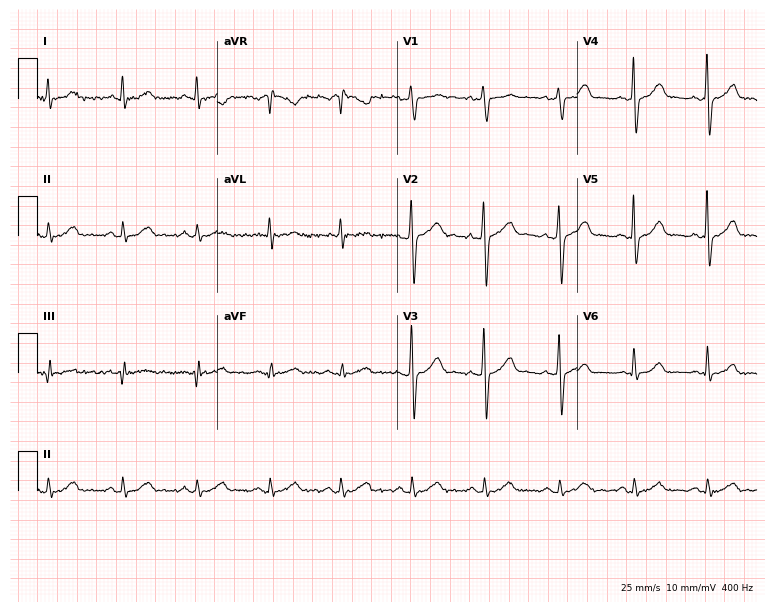
12-lead ECG from a man, 42 years old (7.3-second recording at 400 Hz). No first-degree AV block, right bundle branch block, left bundle branch block, sinus bradycardia, atrial fibrillation or sinus tachycardia recorded for this tracing.